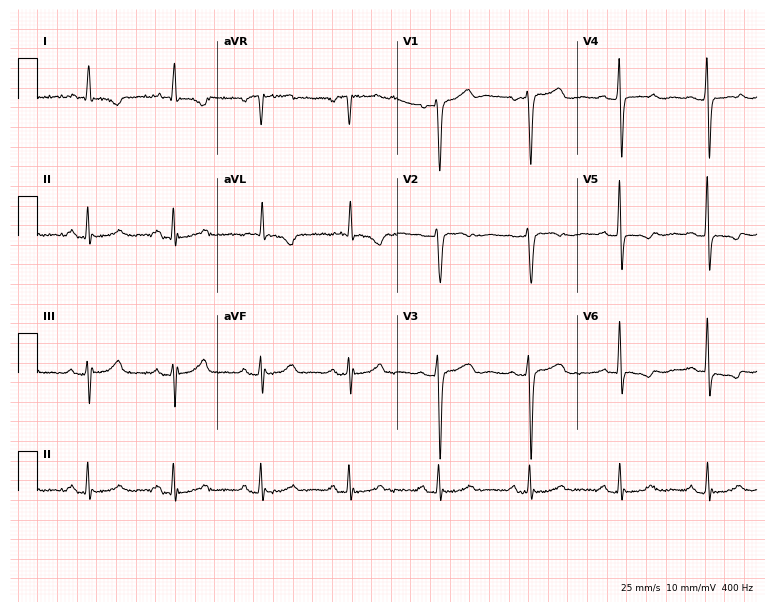
12-lead ECG from a female, 61 years old (7.3-second recording at 400 Hz). No first-degree AV block, right bundle branch block, left bundle branch block, sinus bradycardia, atrial fibrillation or sinus tachycardia recorded for this tracing. Only these six findings were labelled.